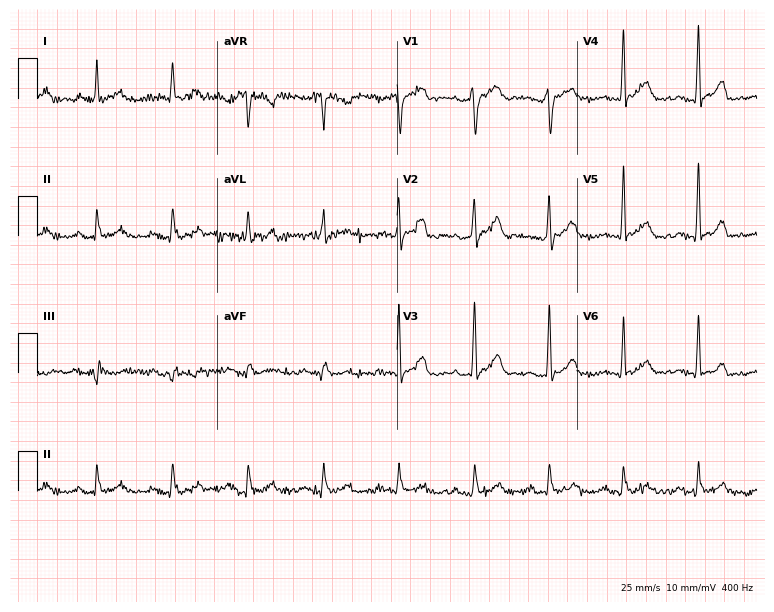
Electrocardiogram (7.3-second recording at 400 Hz), a male patient, 67 years old. Of the six screened findings (first-degree AV block, right bundle branch block, left bundle branch block, sinus bradycardia, atrial fibrillation, sinus tachycardia), none is recorded.